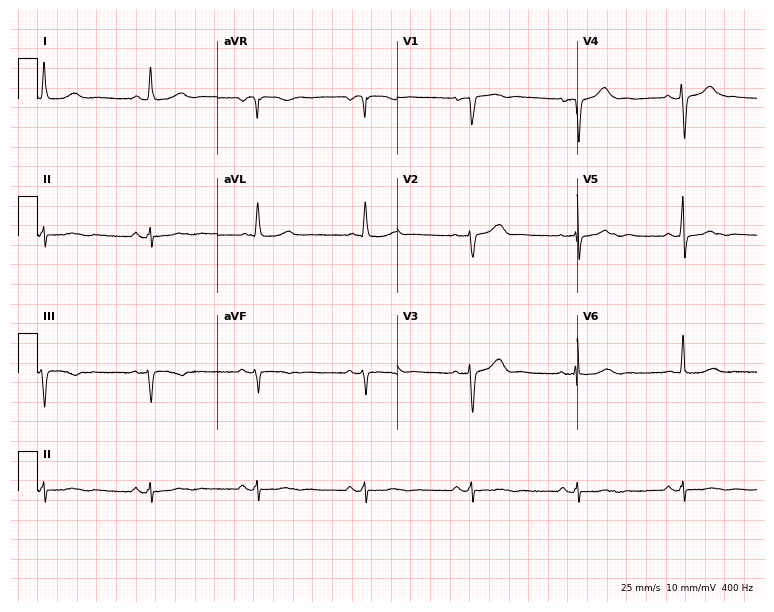
12-lead ECG from a 73-year-old woman. No first-degree AV block, right bundle branch block, left bundle branch block, sinus bradycardia, atrial fibrillation or sinus tachycardia recorded for this tracing.